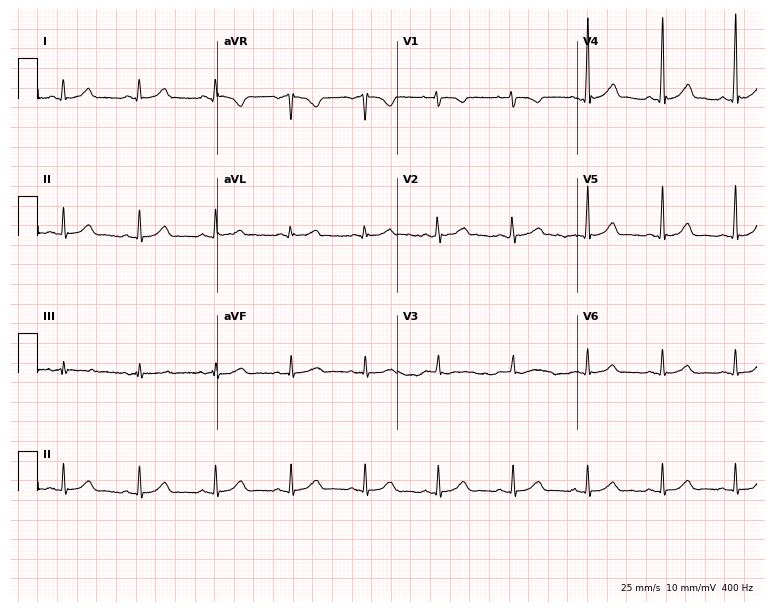
Resting 12-lead electrocardiogram (7.3-second recording at 400 Hz). Patient: a female, 39 years old. Read as a normal ECG.